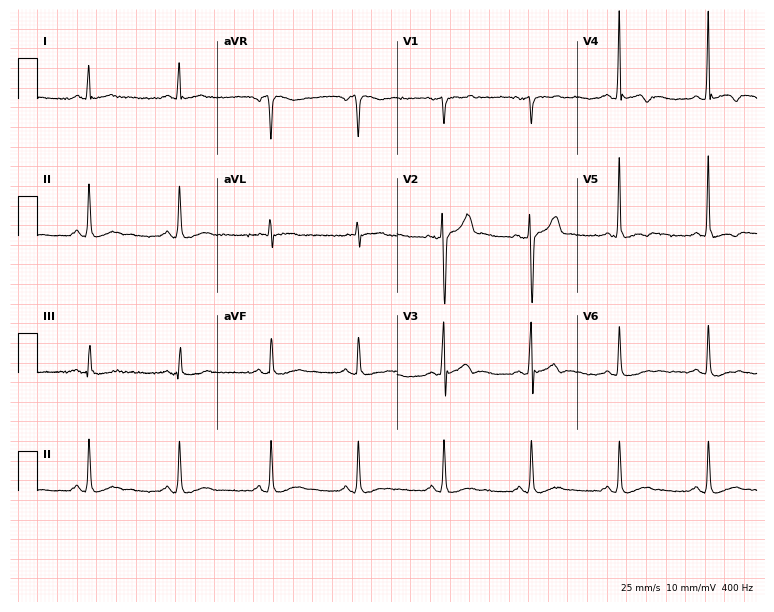
Resting 12-lead electrocardiogram. Patient: a 50-year-old man. None of these six findings is recorded: first-degree AV block, right bundle branch block (RBBB), left bundle branch block (LBBB), sinus bradycardia, atrial fibrillation (AF), sinus tachycardia.